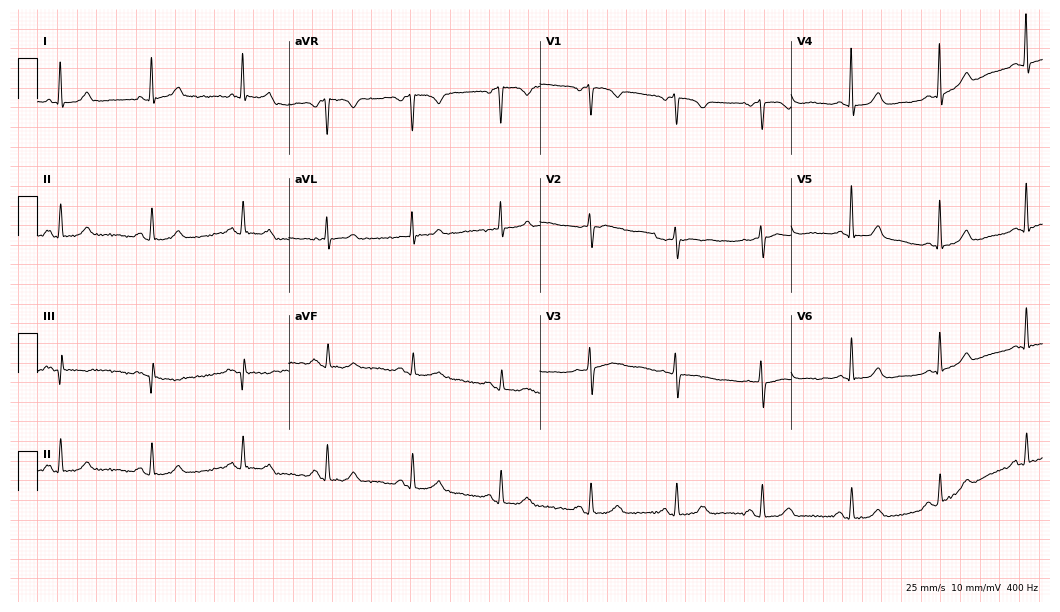
12-lead ECG from a 69-year-old female patient. Labelled as a normal ECG.